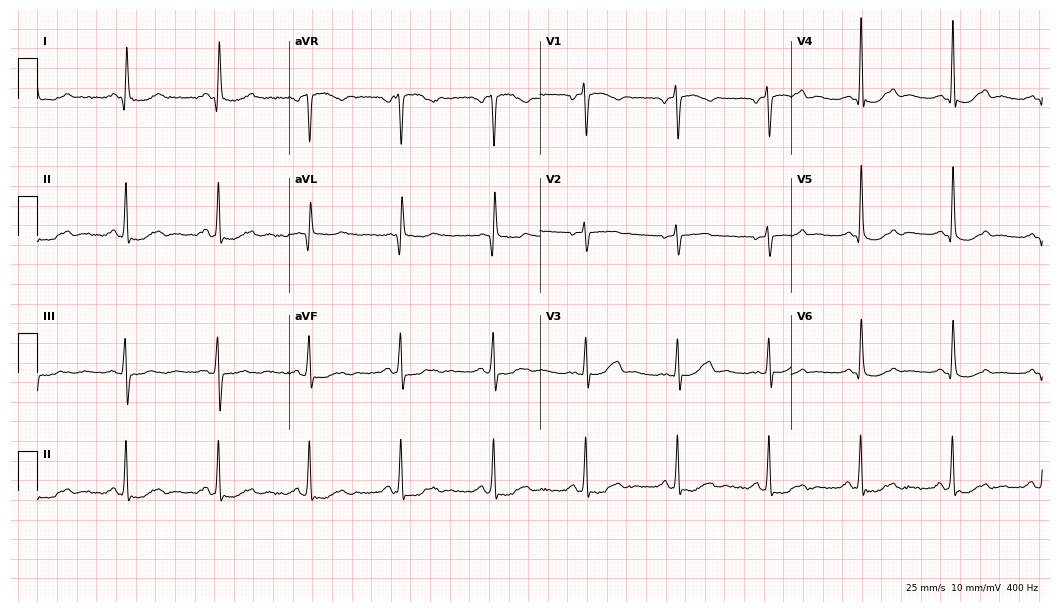
Standard 12-lead ECG recorded from a 62-year-old female. None of these six findings is recorded: first-degree AV block, right bundle branch block, left bundle branch block, sinus bradycardia, atrial fibrillation, sinus tachycardia.